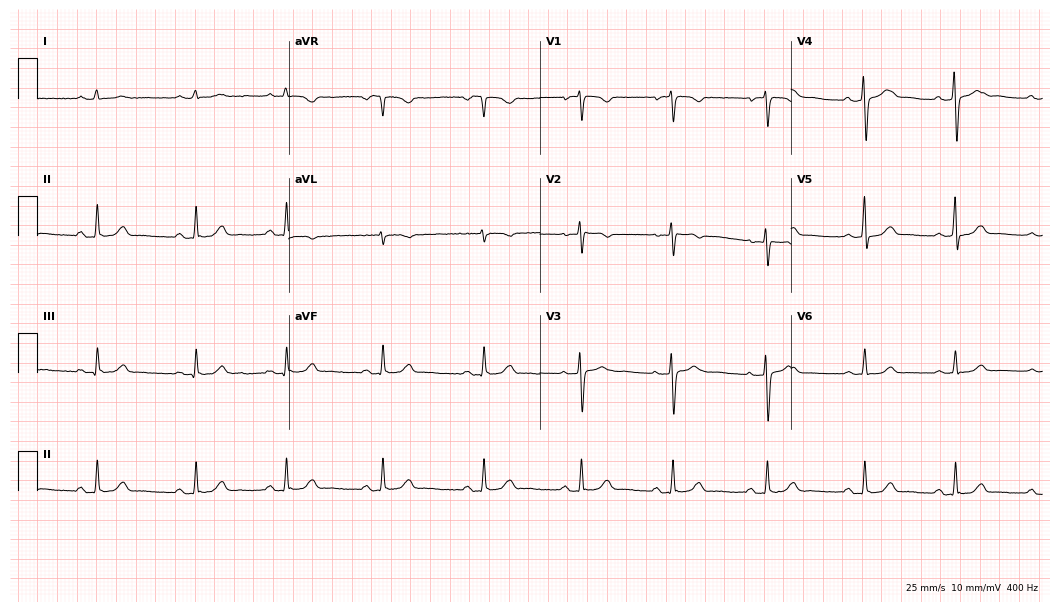
ECG — a 23-year-old woman. Screened for six findings — first-degree AV block, right bundle branch block (RBBB), left bundle branch block (LBBB), sinus bradycardia, atrial fibrillation (AF), sinus tachycardia — none is recorded. Findings outside these six are not listed.